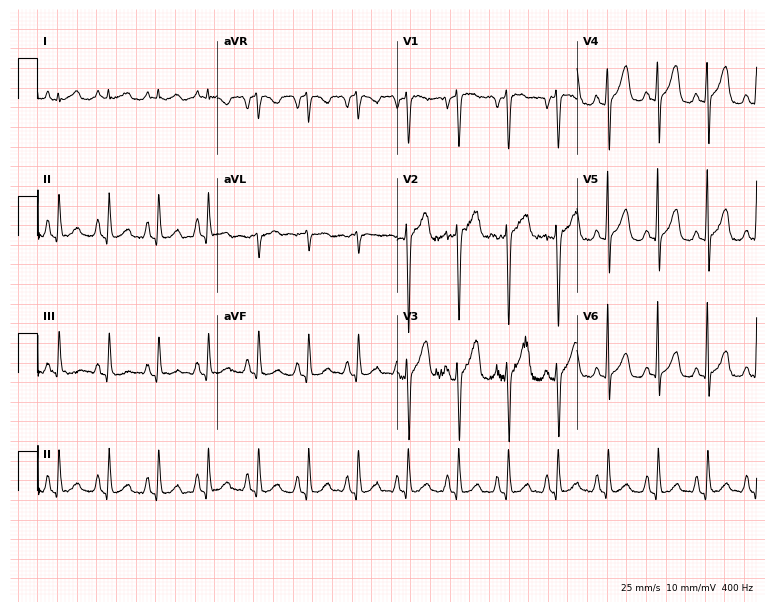
ECG (7.3-second recording at 400 Hz) — a 68-year-old female. Findings include sinus tachycardia (a sinus rate of 100 beats per minute or more).